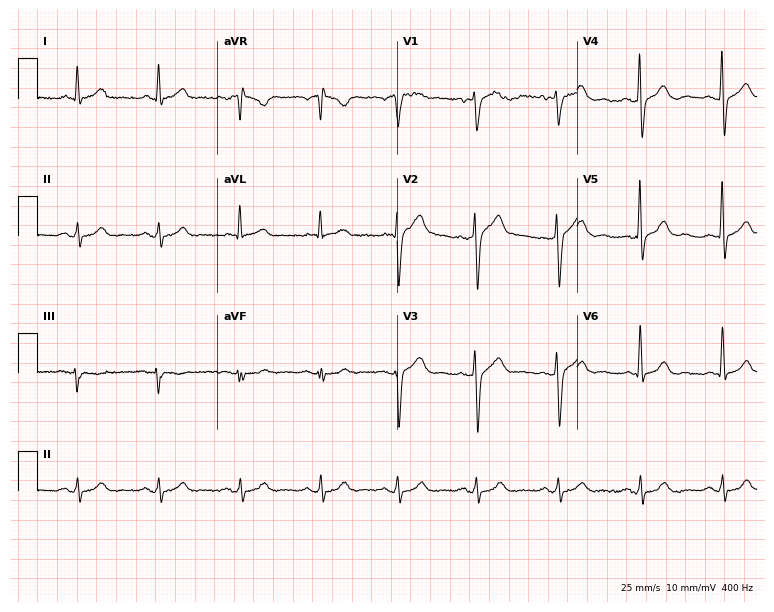
Electrocardiogram (7.3-second recording at 400 Hz), a 75-year-old male patient. Overall reading on record: normal ECG.